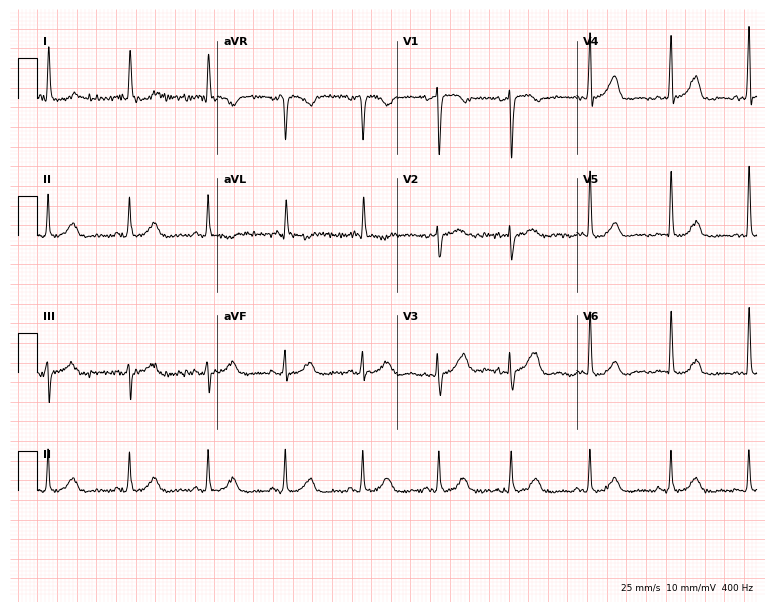
Resting 12-lead electrocardiogram (7.3-second recording at 400 Hz). Patient: a female, 79 years old. None of these six findings is recorded: first-degree AV block, right bundle branch block, left bundle branch block, sinus bradycardia, atrial fibrillation, sinus tachycardia. Findings outside these six are not listed.